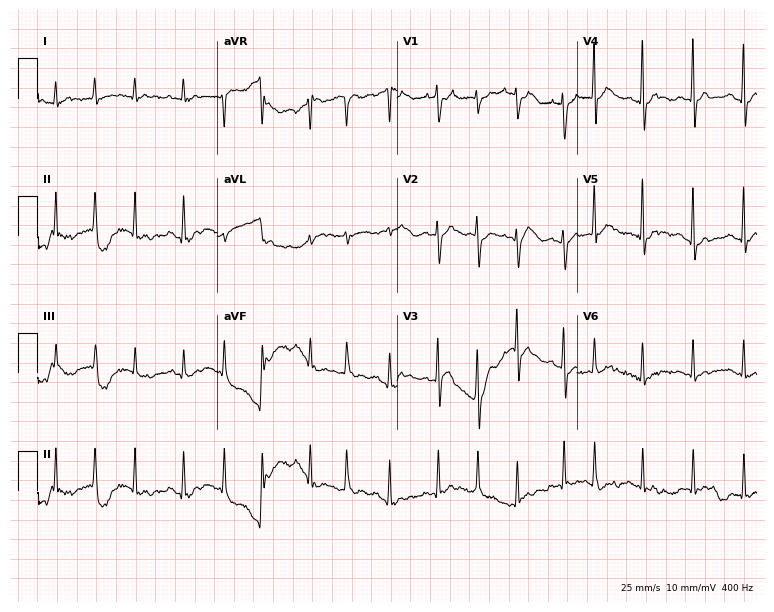
ECG (7.3-second recording at 400 Hz) — a 68-year-old female patient. Screened for six findings — first-degree AV block, right bundle branch block (RBBB), left bundle branch block (LBBB), sinus bradycardia, atrial fibrillation (AF), sinus tachycardia — none is recorded. Findings outside these six are not listed.